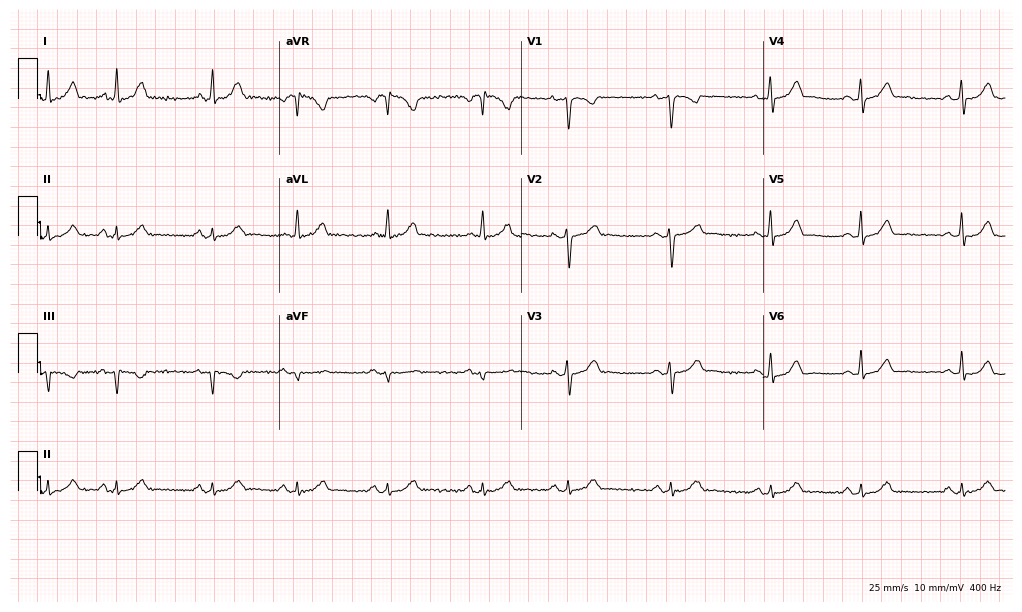
12-lead ECG (9.9-second recording at 400 Hz) from a woman, 26 years old. Labelled as a normal ECG.